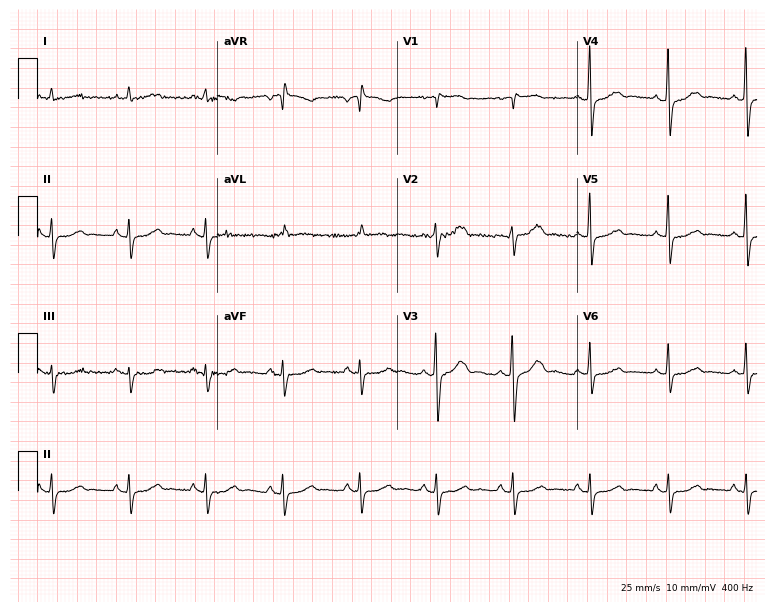
Electrocardiogram, a 76-year-old woman. Overall reading on record: normal ECG.